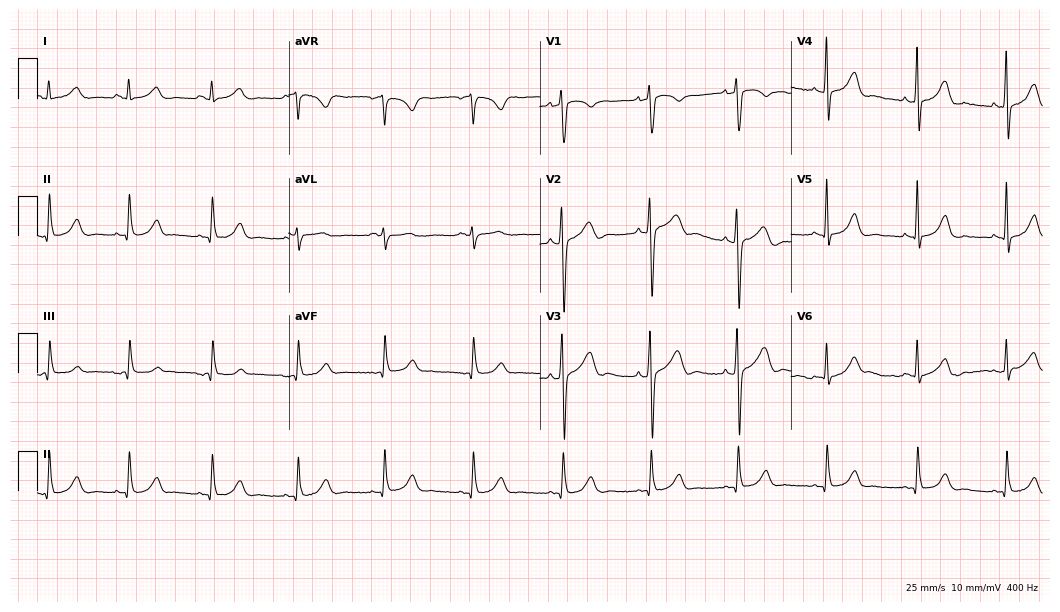
Electrocardiogram (10.2-second recording at 400 Hz), a man, 54 years old. Overall reading on record: normal ECG.